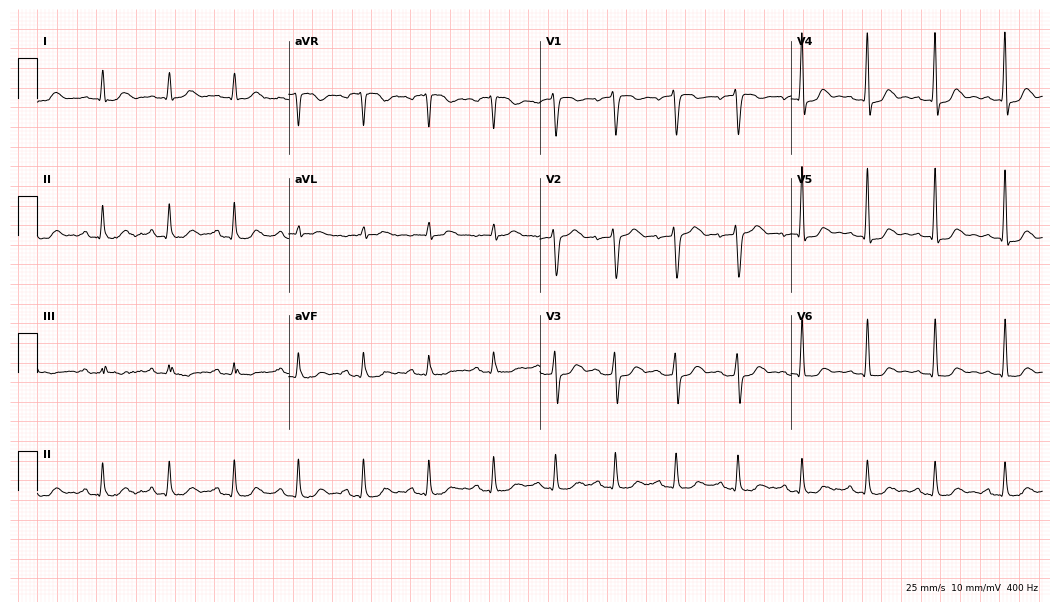
Resting 12-lead electrocardiogram. Patient: a man, 61 years old. None of these six findings is recorded: first-degree AV block, right bundle branch block, left bundle branch block, sinus bradycardia, atrial fibrillation, sinus tachycardia. Other findings, if any, are not listed.